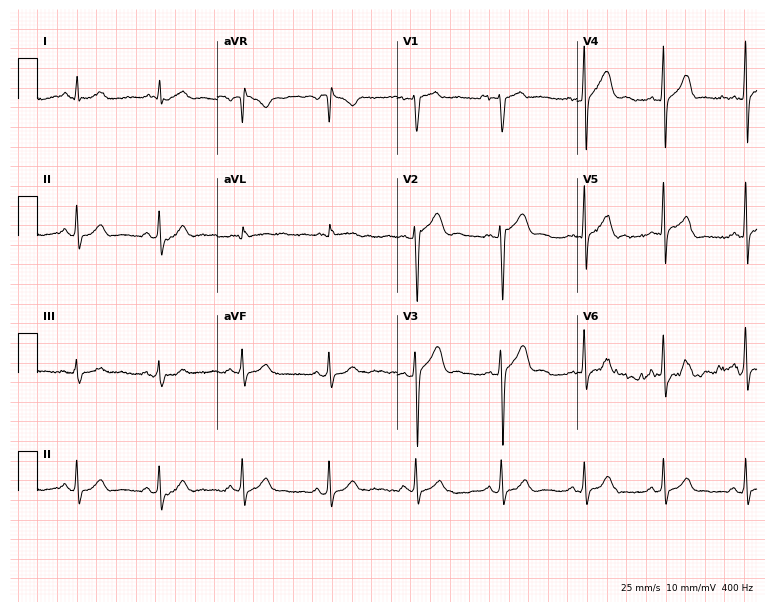
Resting 12-lead electrocardiogram (7.3-second recording at 400 Hz). Patient: a male, 25 years old. None of these six findings is recorded: first-degree AV block, right bundle branch block, left bundle branch block, sinus bradycardia, atrial fibrillation, sinus tachycardia.